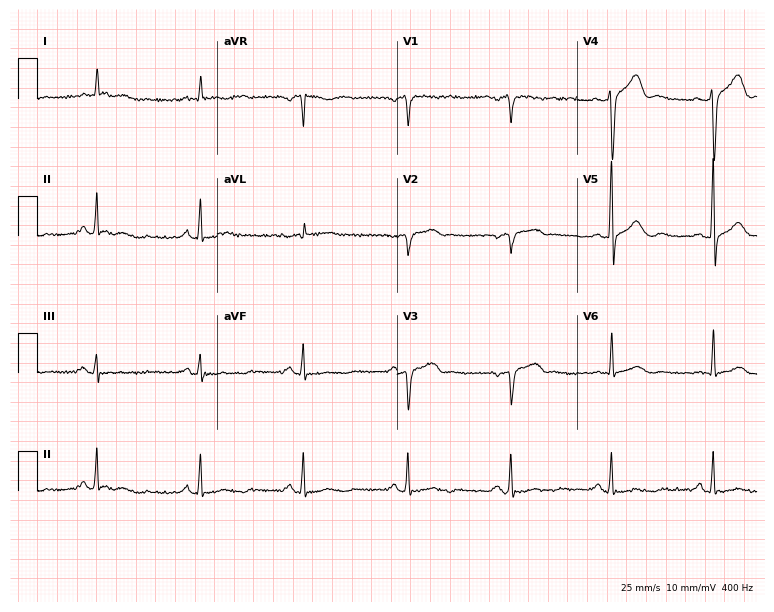
Electrocardiogram, a 55-year-old man. Of the six screened findings (first-degree AV block, right bundle branch block (RBBB), left bundle branch block (LBBB), sinus bradycardia, atrial fibrillation (AF), sinus tachycardia), none is recorded.